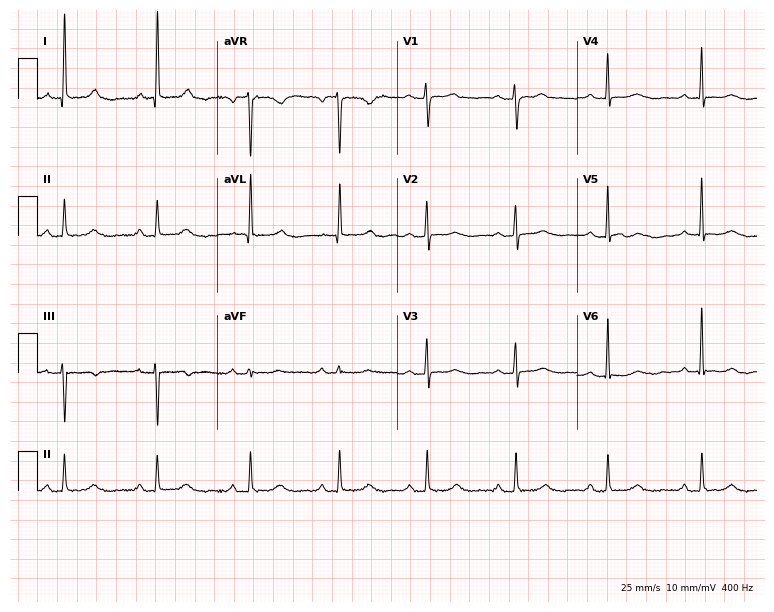
Resting 12-lead electrocardiogram (7.3-second recording at 400 Hz). Patient: a 55-year-old woman. Read as a normal ECG.